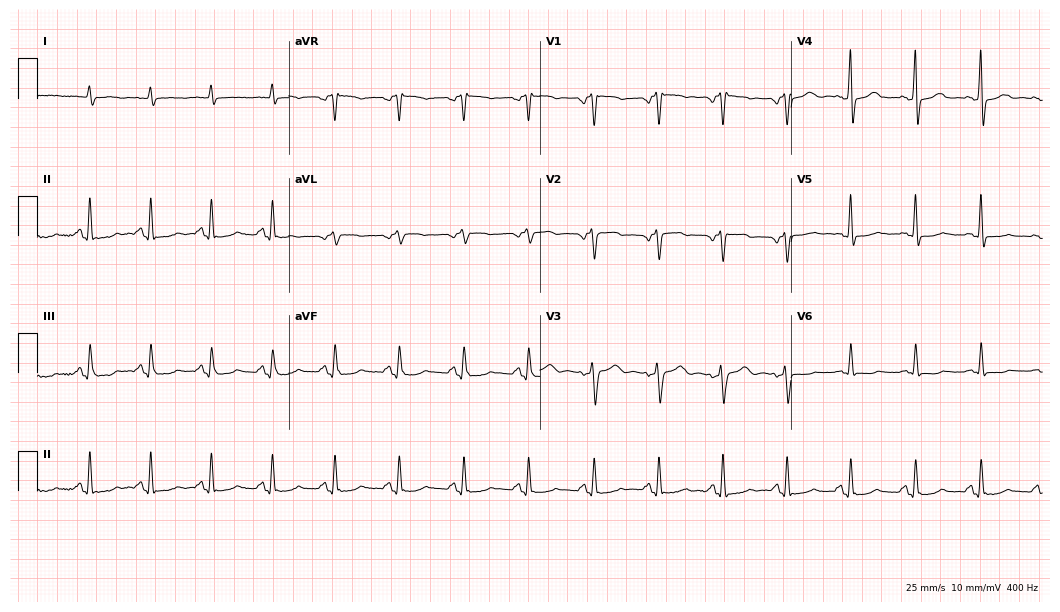
Resting 12-lead electrocardiogram. Patient: a female, 48 years old. None of these six findings is recorded: first-degree AV block, right bundle branch block, left bundle branch block, sinus bradycardia, atrial fibrillation, sinus tachycardia. Other findings, if any, are not listed.